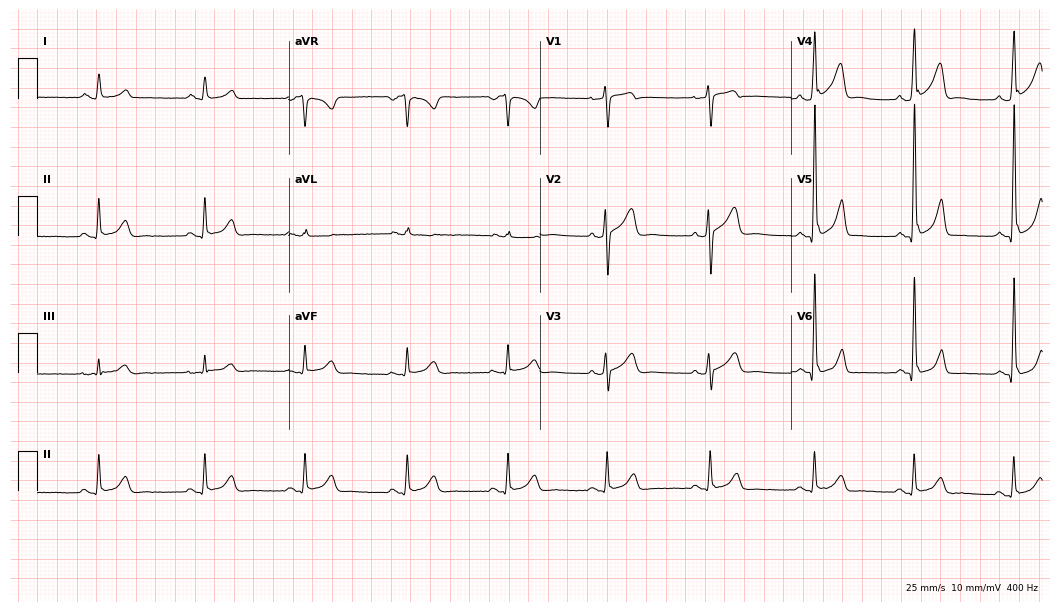
ECG (10.2-second recording at 400 Hz) — a male patient, 34 years old. Screened for six findings — first-degree AV block, right bundle branch block, left bundle branch block, sinus bradycardia, atrial fibrillation, sinus tachycardia — none is recorded.